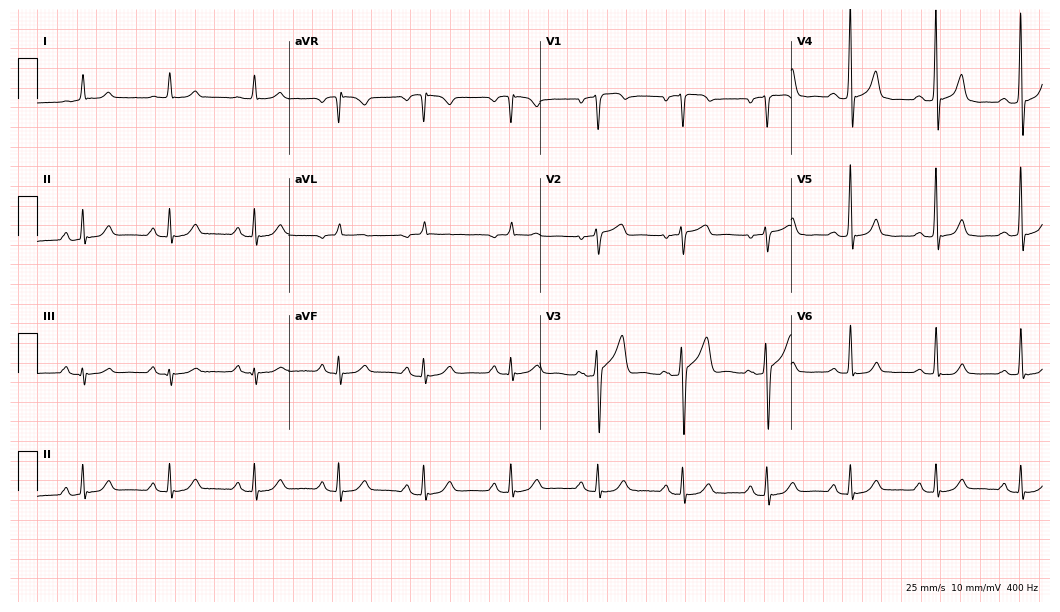
12-lead ECG (10.2-second recording at 400 Hz) from an 81-year-old male. Labelled as a normal ECG.